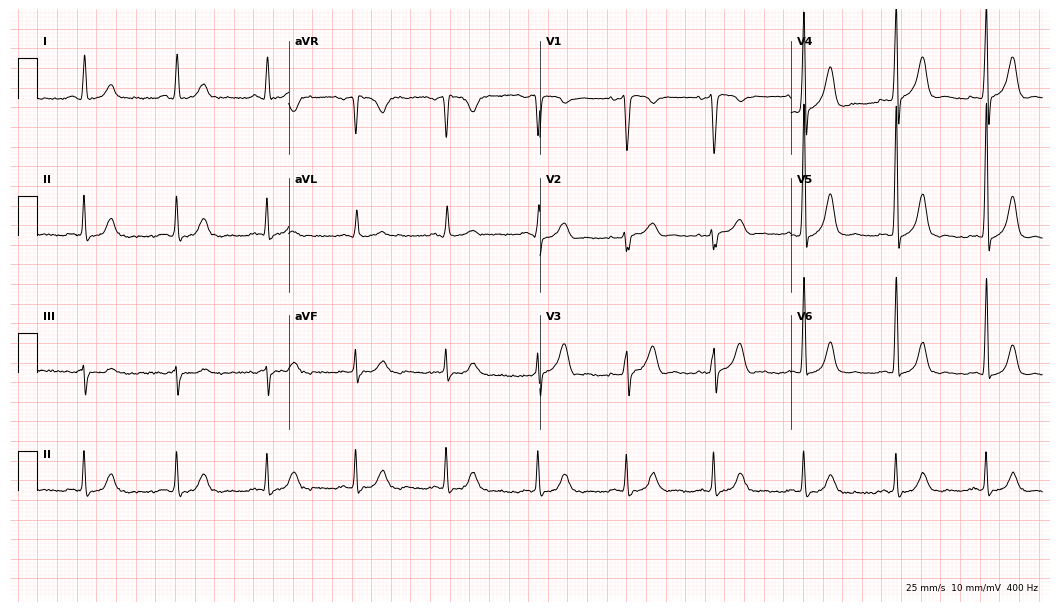
Electrocardiogram (10.2-second recording at 400 Hz), a male, 46 years old. Overall reading on record: normal ECG.